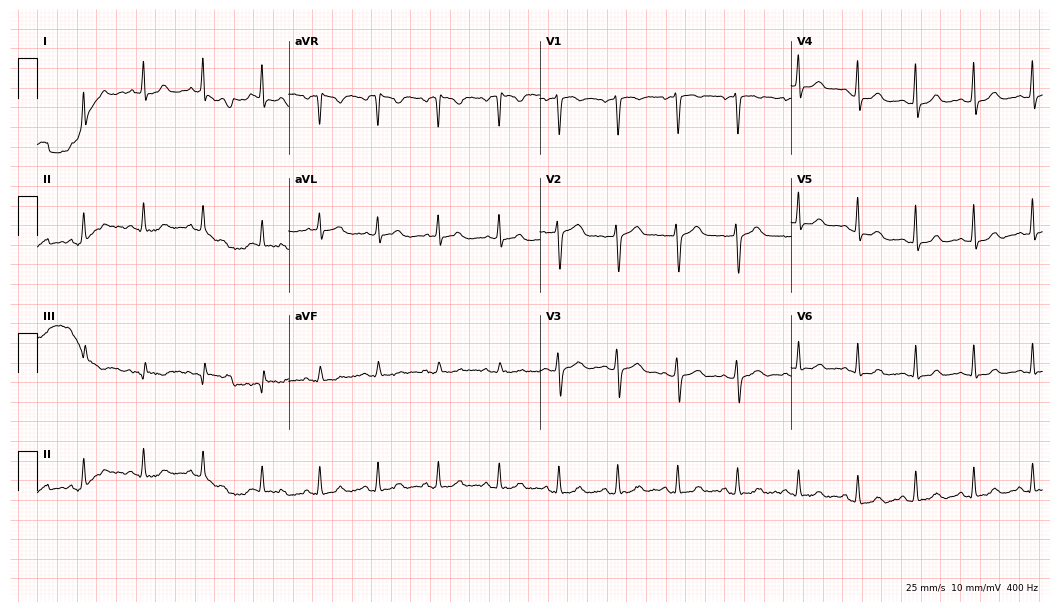
Resting 12-lead electrocardiogram. Patient: a woman, 46 years old. Read as a normal ECG.